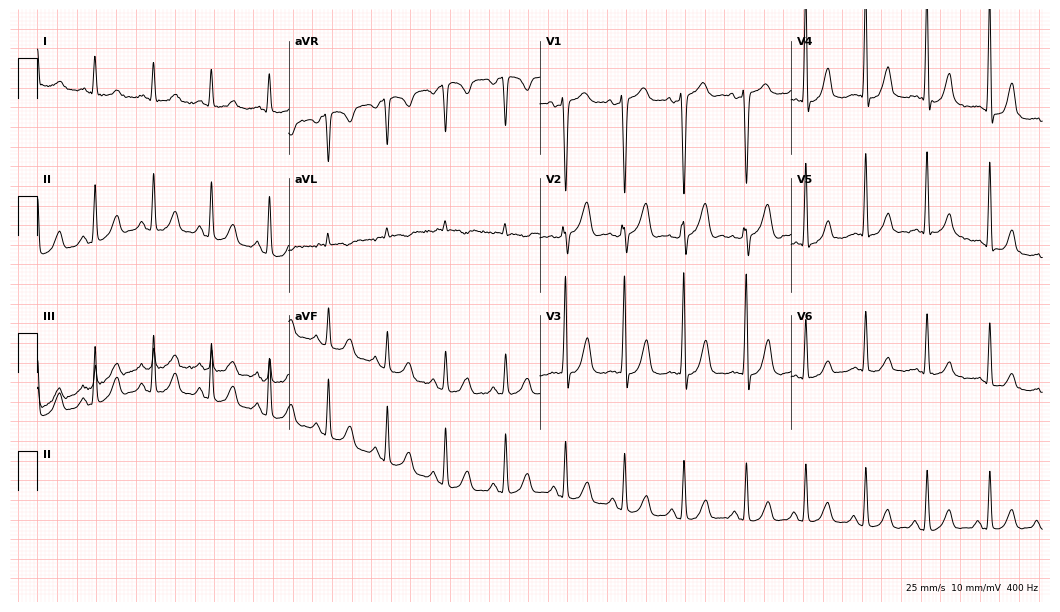
12-lead ECG from a woman, 36 years old. No first-degree AV block, right bundle branch block, left bundle branch block, sinus bradycardia, atrial fibrillation or sinus tachycardia recorded for this tracing. Only these six findings were labelled.